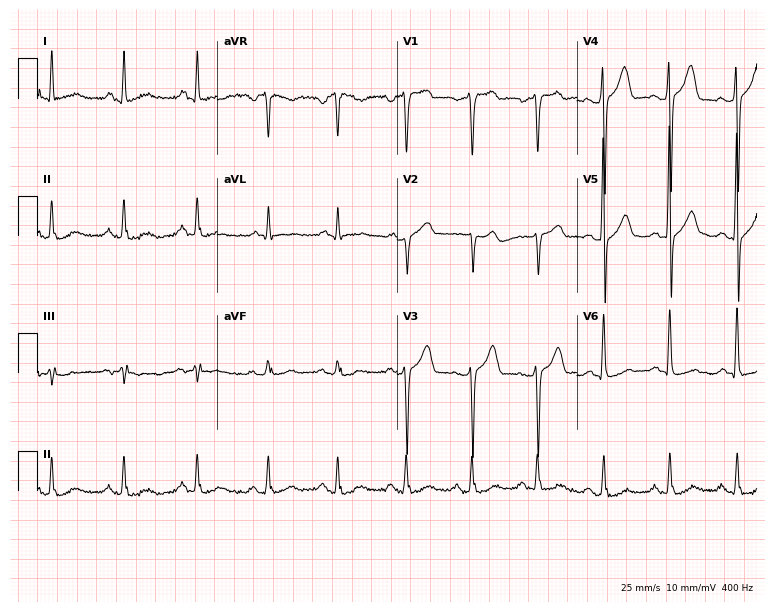
Resting 12-lead electrocardiogram (7.3-second recording at 400 Hz). Patient: a 64-year-old man. None of these six findings is recorded: first-degree AV block, right bundle branch block (RBBB), left bundle branch block (LBBB), sinus bradycardia, atrial fibrillation (AF), sinus tachycardia.